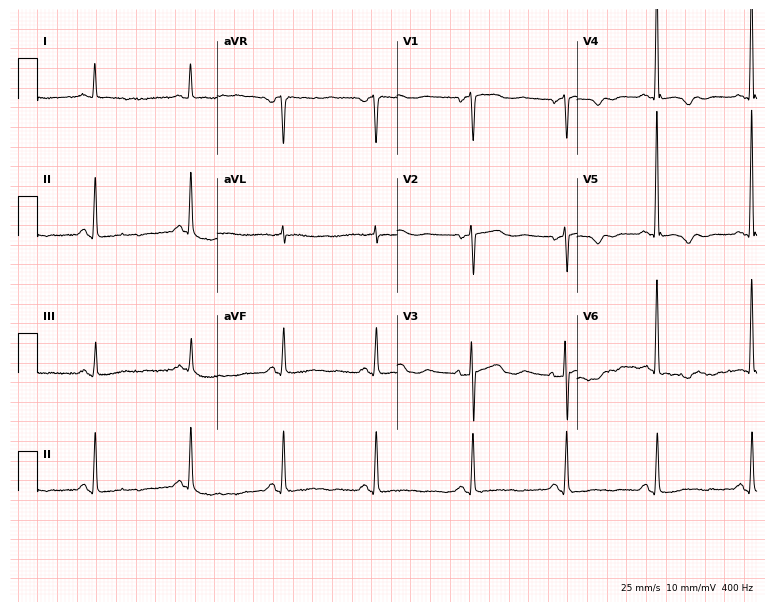
Electrocardiogram (7.3-second recording at 400 Hz), a female, 78 years old. Of the six screened findings (first-degree AV block, right bundle branch block (RBBB), left bundle branch block (LBBB), sinus bradycardia, atrial fibrillation (AF), sinus tachycardia), none is recorded. Findings outside these six are not listed.